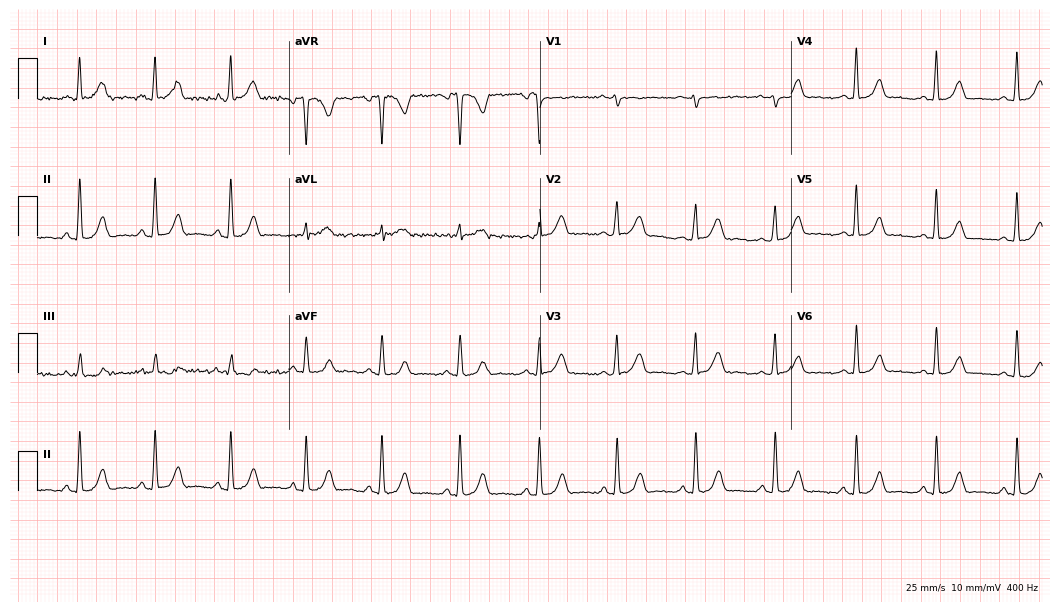
12-lead ECG from a female, 45 years old (10.2-second recording at 400 Hz). No first-degree AV block, right bundle branch block, left bundle branch block, sinus bradycardia, atrial fibrillation or sinus tachycardia recorded for this tracing.